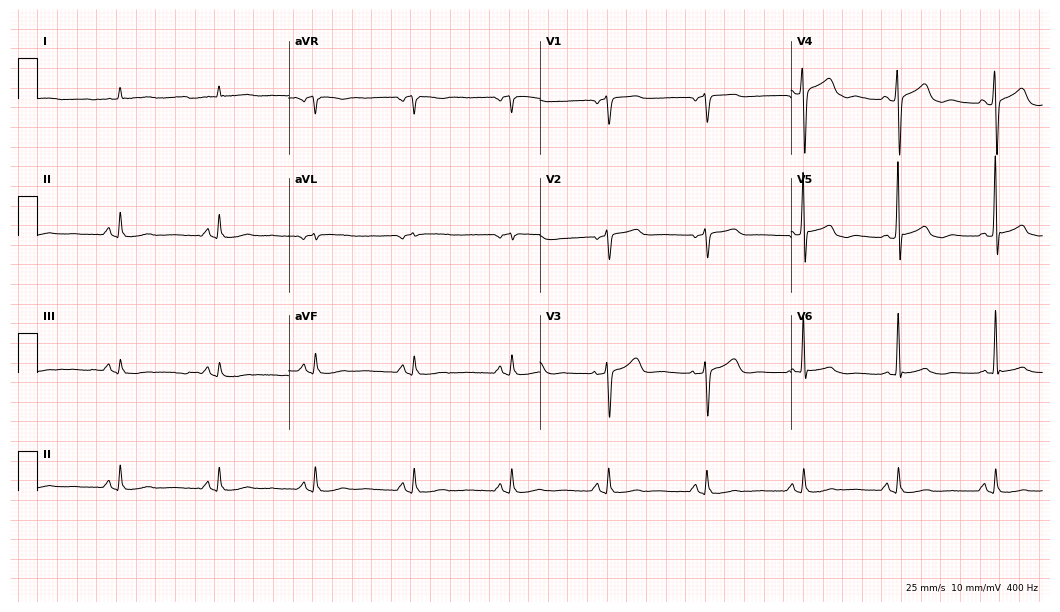
Standard 12-lead ECG recorded from a male, 75 years old. Read as a normal ECG.